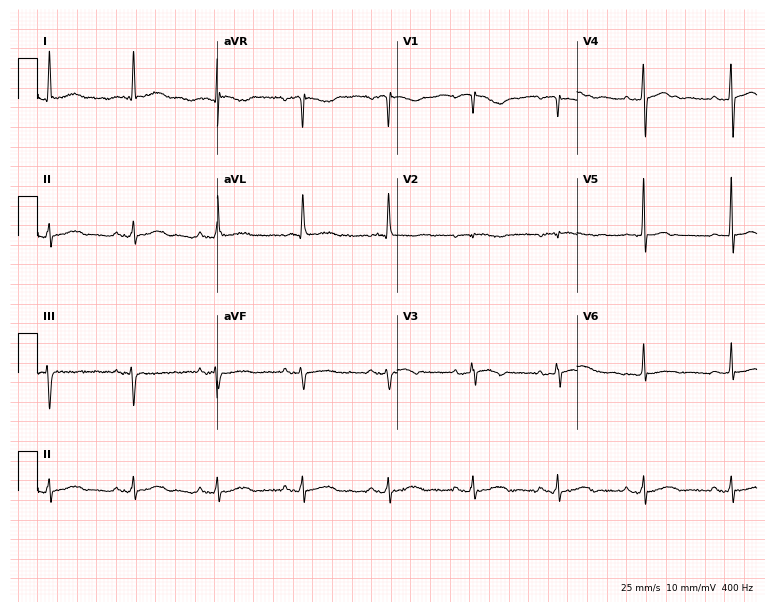
Electrocardiogram, a woman, 85 years old. Of the six screened findings (first-degree AV block, right bundle branch block (RBBB), left bundle branch block (LBBB), sinus bradycardia, atrial fibrillation (AF), sinus tachycardia), none is recorded.